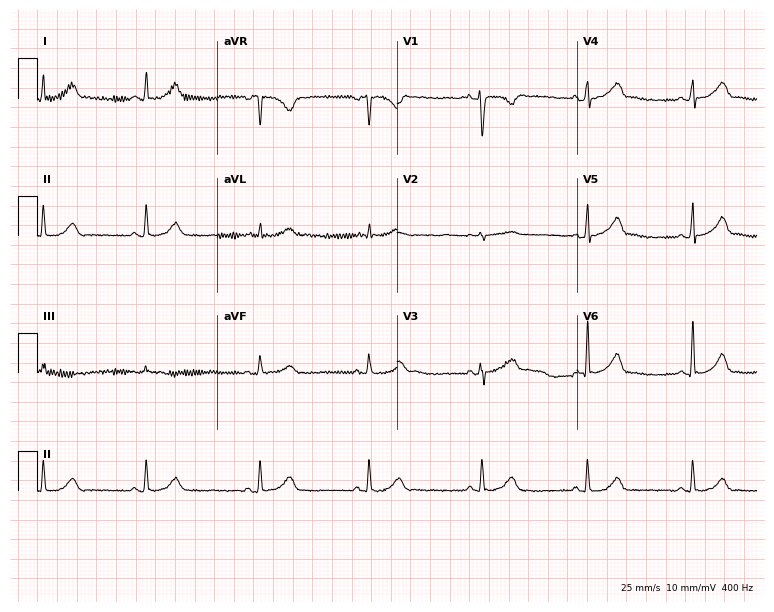
12-lead ECG from a 27-year-old female (7.3-second recording at 400 Hz). Recorded interpretation: within normal limits.